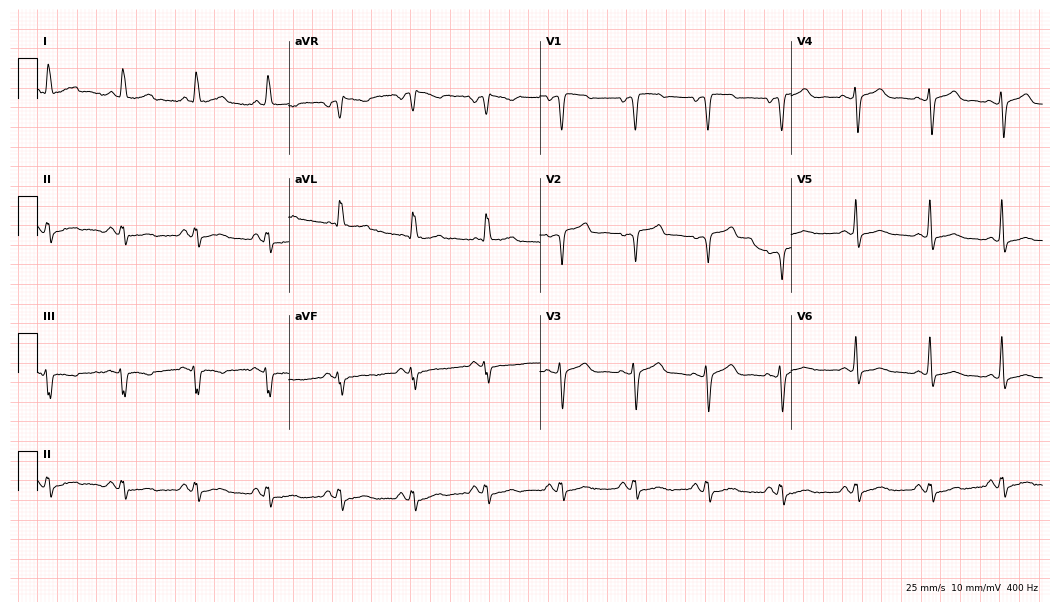
Electrocardiogram, a 61-year-old woman. Of the six screened findings (first-degree AV block, right bundle branch block, left bundle branch block, sinus bradycardia, atrial fibrillation, sinus tachycardia), none is recorded. Other findings, if any, are not listed.